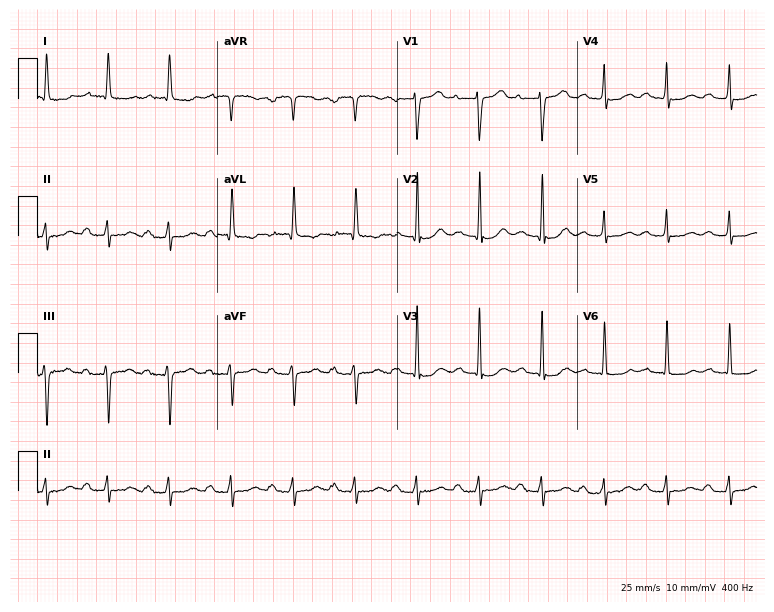
Electrocardiogram, a 77-year-old female. Interpretation includes first-degree AV block.